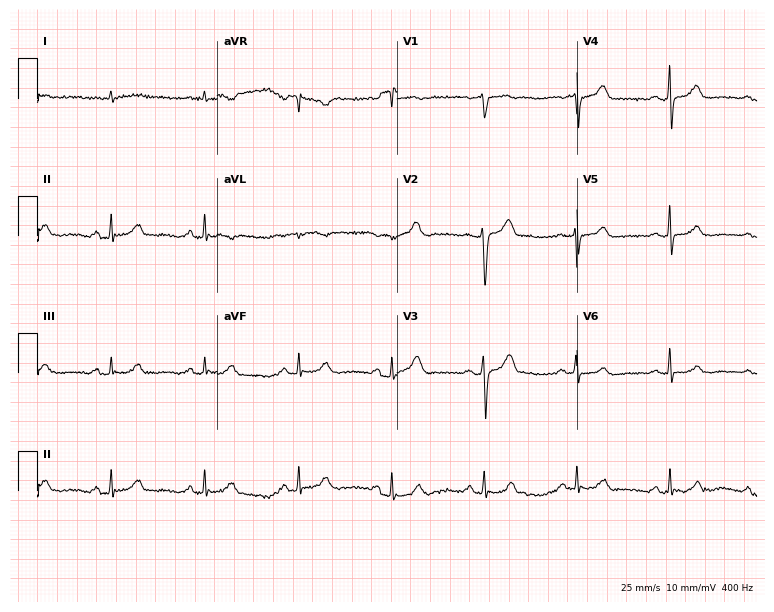
Electrocardiogram (7.3-second recording at 400 Hz), a 67-year-old man. Overall reading on record: normal ECG.